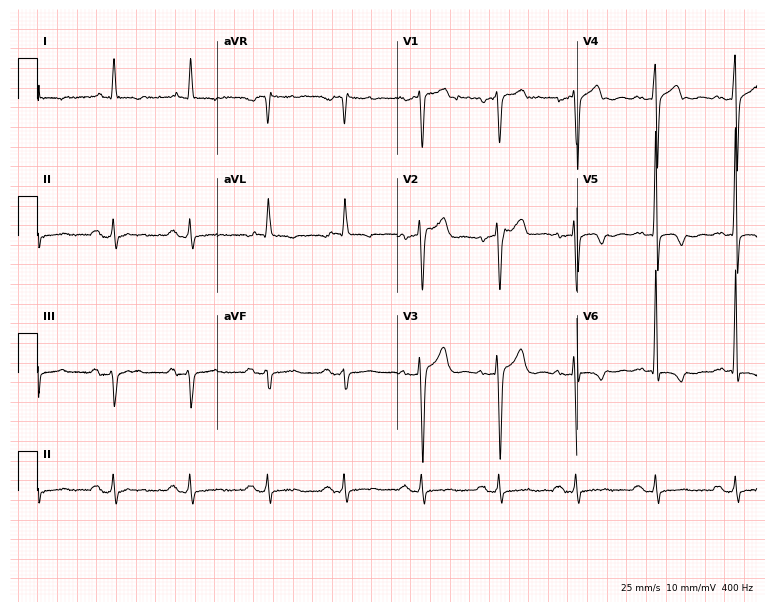
Electrocardiogram (7.3-second recording at 400 Hz), a male, 69 years old. Of the six screened findings (first-degree AV block, right bundle branch block, left bundle branch block, sinus bradycardia, atrial fibrillation, sinus tachycardia), none is recorded. Findings outside these six are not listed.